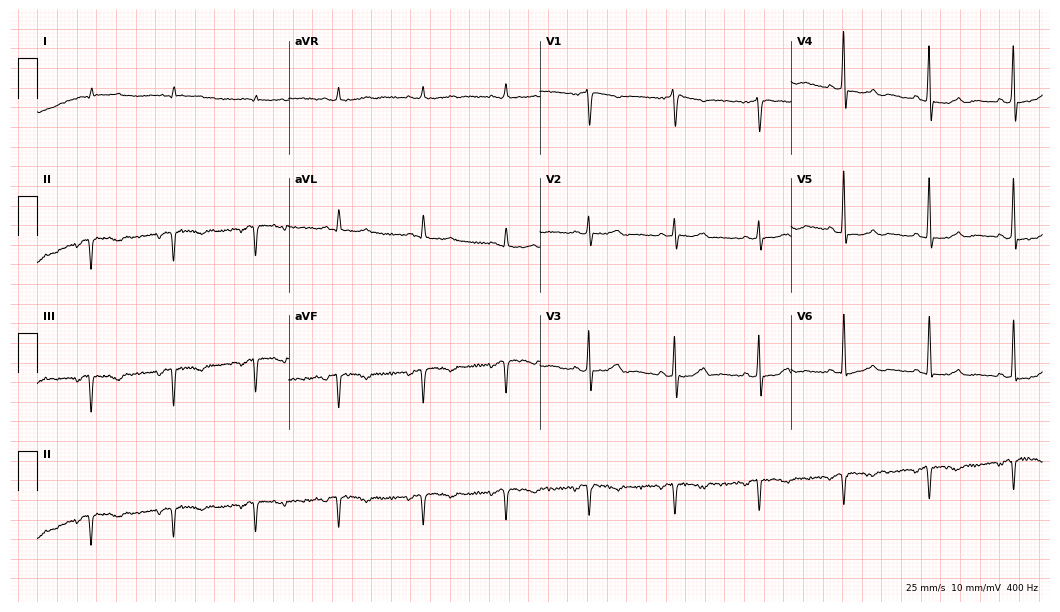
ECG (10.2-second recording at 400 Hz) — an 80-year-old male. Screened for six findings — first-degree AV block, right bundle branch block, left bundle branch block, sinus bradycardia, atrial fibrillation, sinus tachycardia — none is recorded. Only these six findings were labelled.